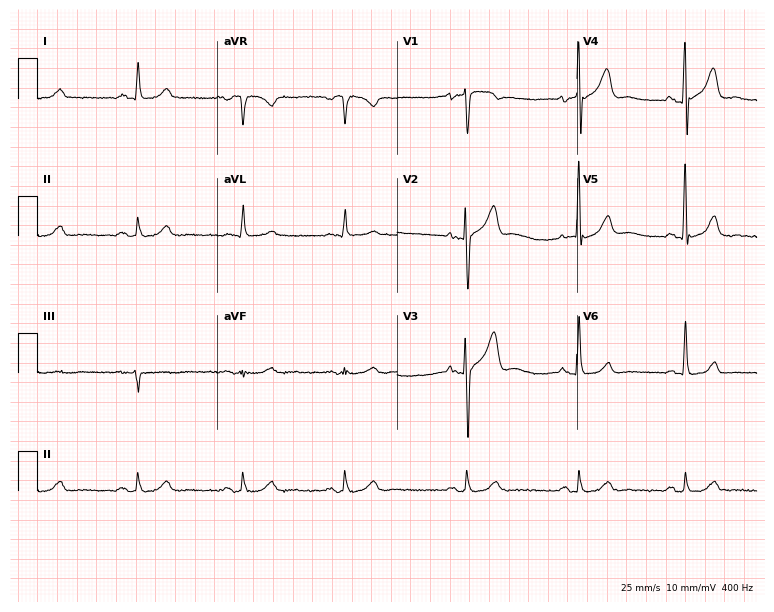
Resting 12-lead electrocardiogram. Patient: an 80-year-old man. None of these six findings is recorded: first-degree AV block, right bundle branch block, left bundle branch block, sinus bradycardia, atrial fibrillation, sinus tachycardia.